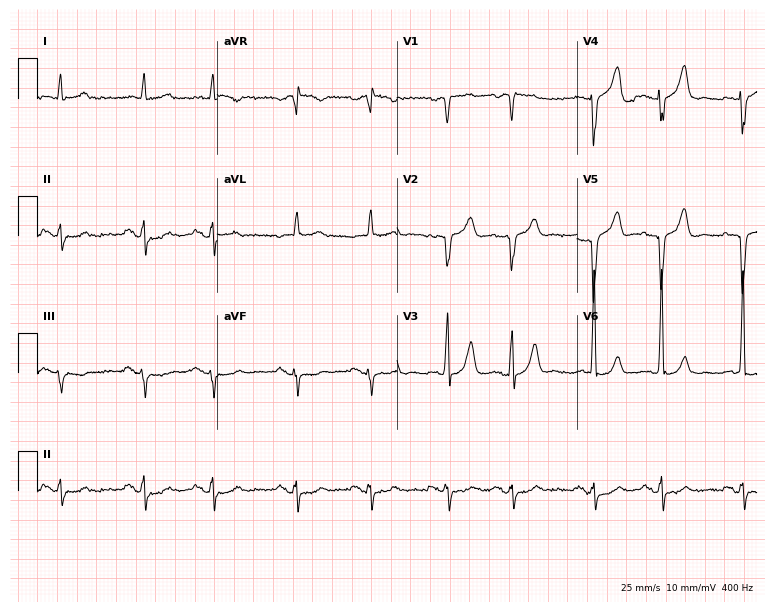
Resting 12-lead electrocardiogram (7.3-second recording at 400 Hz). Patient: a male, 85 years old. None of these six findings is recorded: first-degree AV block, right bundle branch block, left bundle branch block, sinus bradycardia, atrial fibrillation, sinus tachycardia.